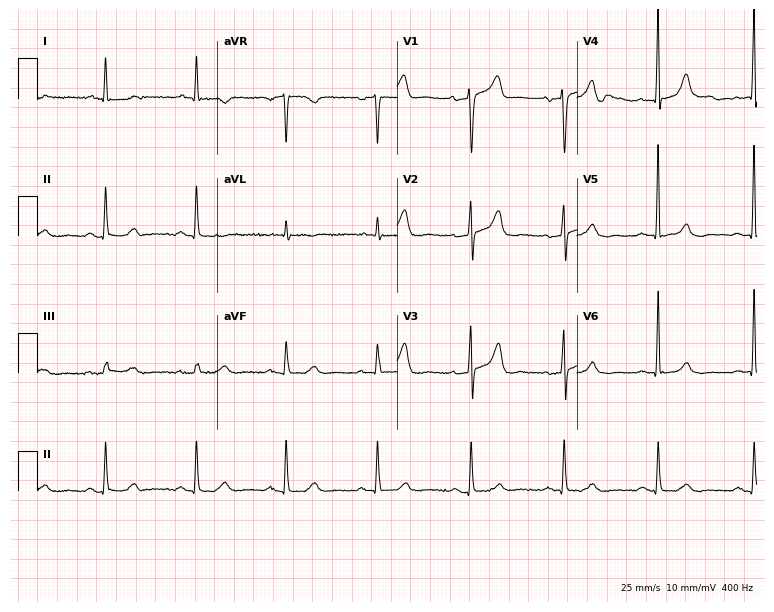
12-lead ECG (7.3-second recording at 400 Hz) from an 83-year-old man. Screened for six findings — first-degree AV block, right bundle branch block (RBBB), left bundle branch block (LBBB), sinus bradycardia, atrial fibrillation (AF), sinus tachycardia — none is recorded. Other findings, if any, are not listed.